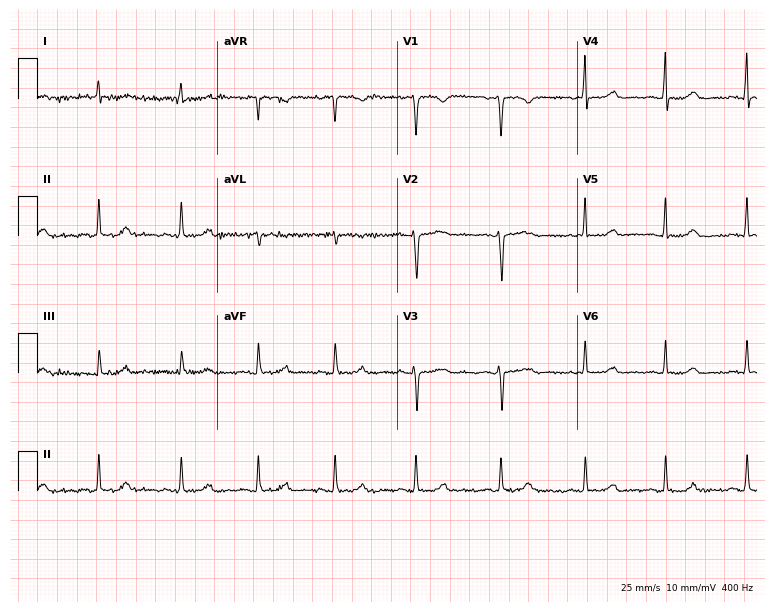
12-lead ECG from a 36-year-old woman. Recorded interpretation: within normal limits.